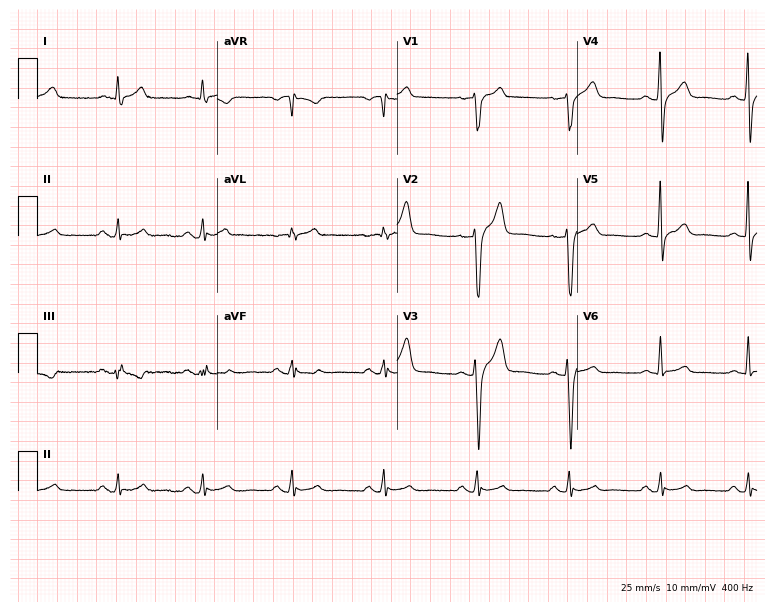
ECG — a male patient, 40 years old. Screened for six findings — first-degree AV block, right bundle branch block, left bundle branch block, sinus bradycardia, atrial fibrillation, sinus tachycardia — none is recorded.